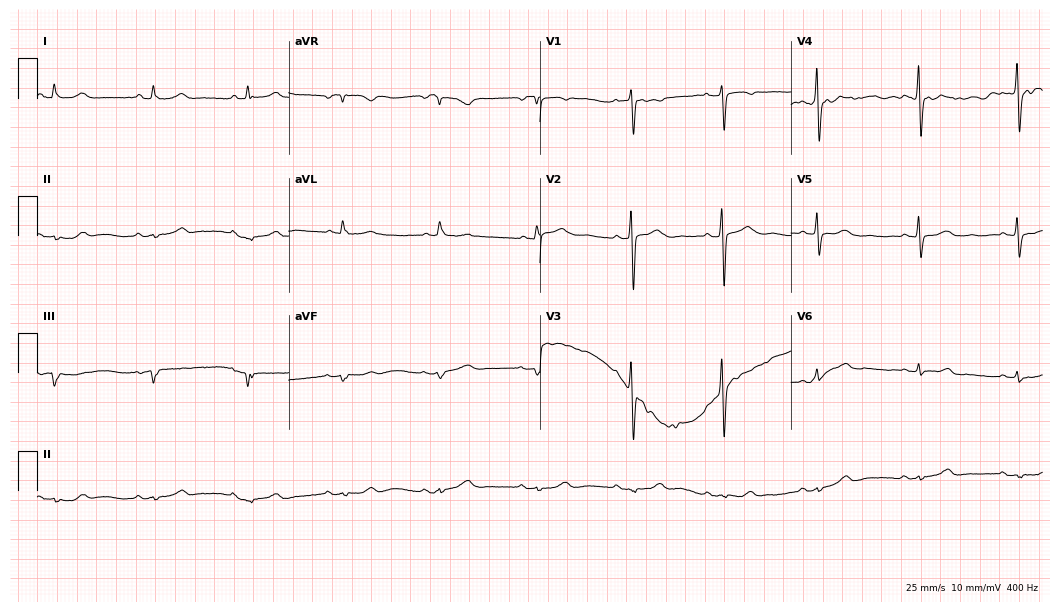
ECG — a 65-year-old female. Screened for six findings — first-degree AV block, right bundle branch block (RBBB), left bundle branch block (LBBB), sinus bradycardia, atrial fibrillation (AF), sinus tachycardia — none is recorded. Findings outside these six are not listed.